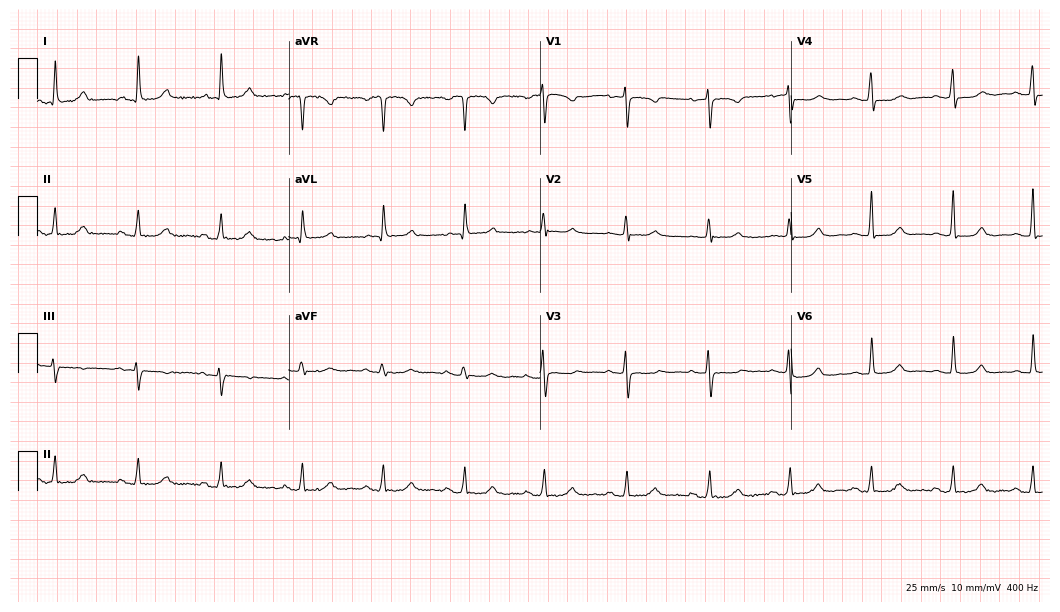
12-lead ECG (10.2-second recording at 400 Hz) from a 69-year-old female patient. Labelled as a normal ECG.